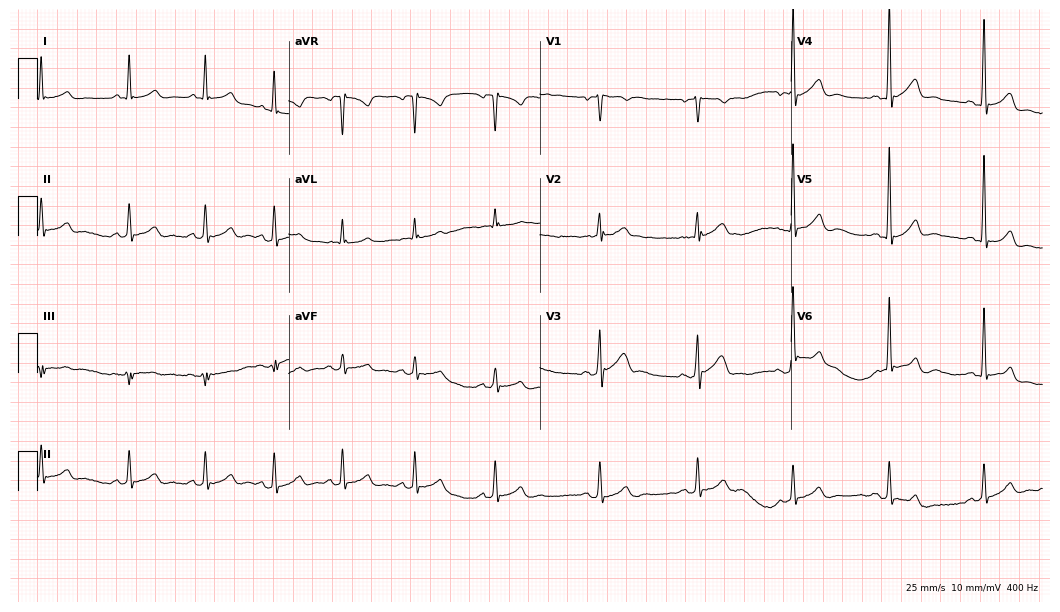
Resting 12-lead electrocardiogram (10.2-second recording at 400 Hz). Patient: a 59-year-old male. Read as a normal ECG.